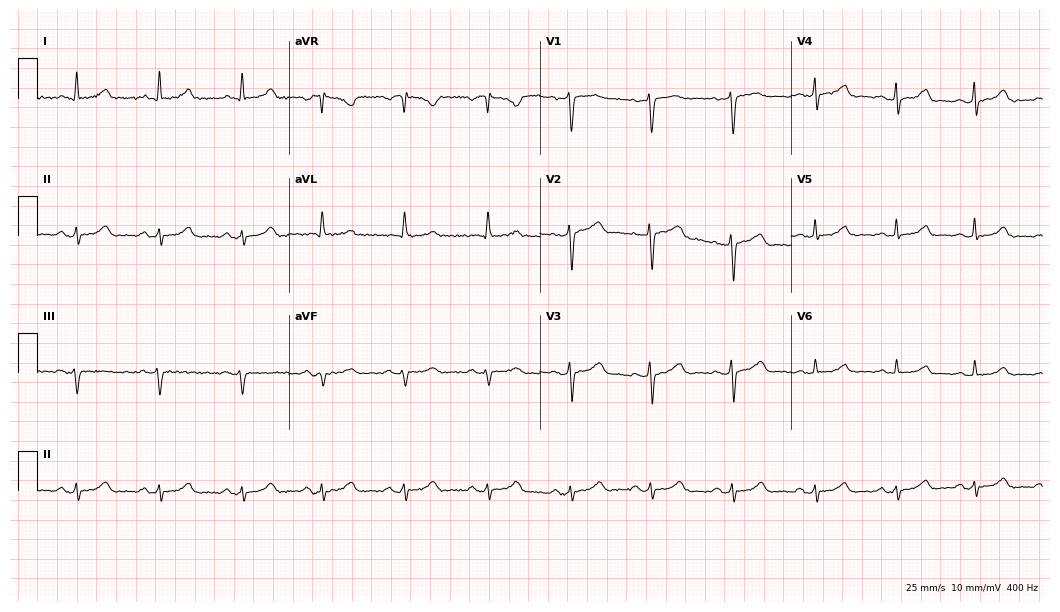
Standard 12-lead ECG recorded from a female patient, 52 years old (10.2-second recording at 400 Hz). None of these six findings is recorded: first-degree AV block, right bundle branch block, left bundle branch block, sinus bradycardia, atrial fibrillation, sinus tachycardia.